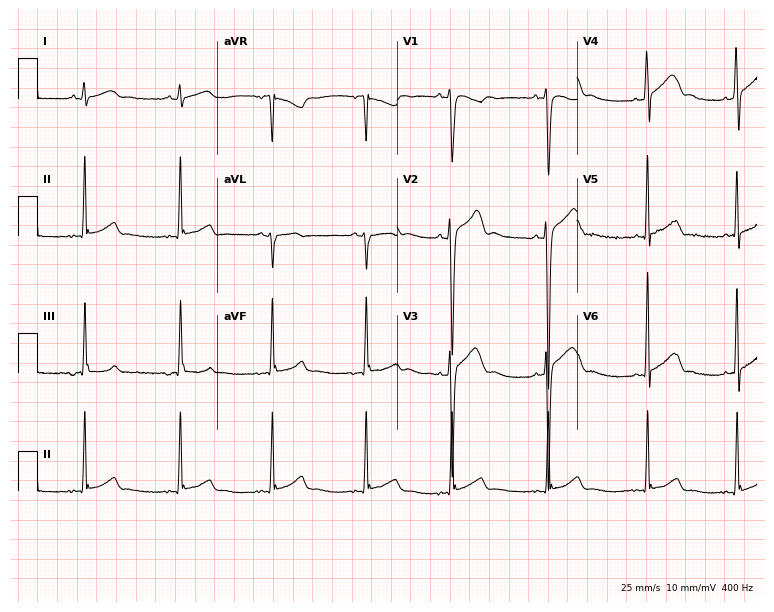
Resting 12-lead electrocardiogram. Patient: a male, 17 years old. None of these six findings is recorded: first-degree AV block, right bundle branch block, left bundle branch block, sinus bradycardia, atrial fibrillation, sinus tachycardia.